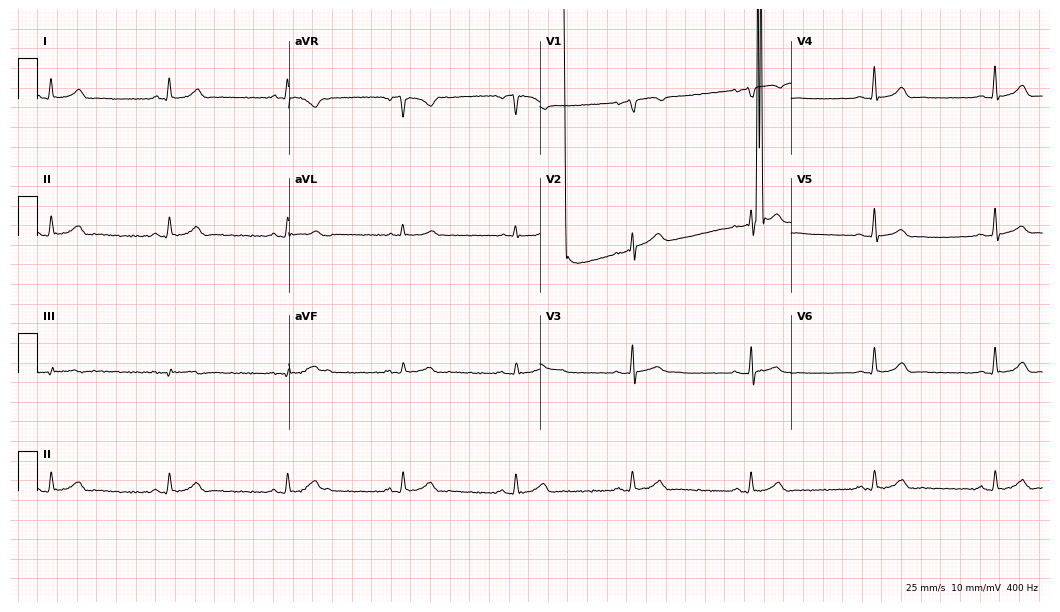
Standard 12-lead ECG recorded from a 64-year-old male (10.2-second recording at 400 Hz). None of these six findings is recorded: first-degree AV block, right bundle branch block, left bundle branch block, sinus bradycardia, atrial fibrillation, sinus tachycardia. Other findings, if any, are not listed.